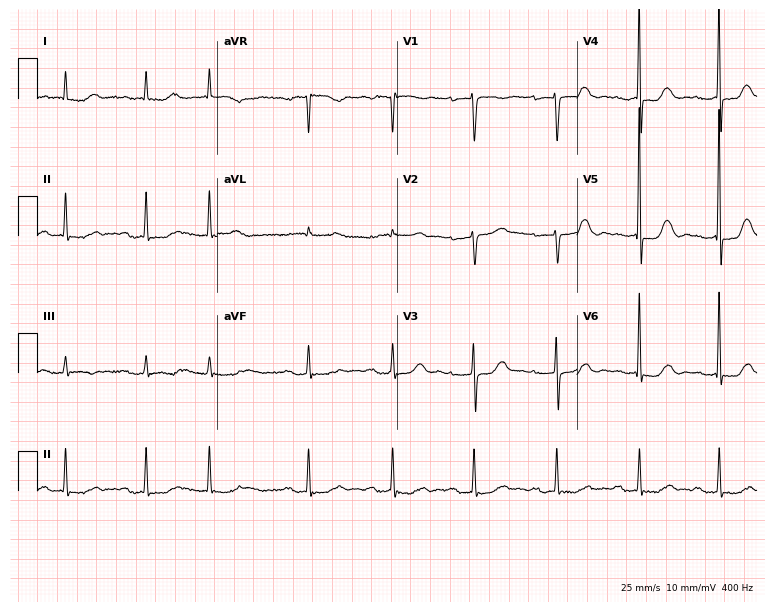
Standard 12-lead ECG recorded from a woman, 83 years old. The tracing shows first-degree AV block.